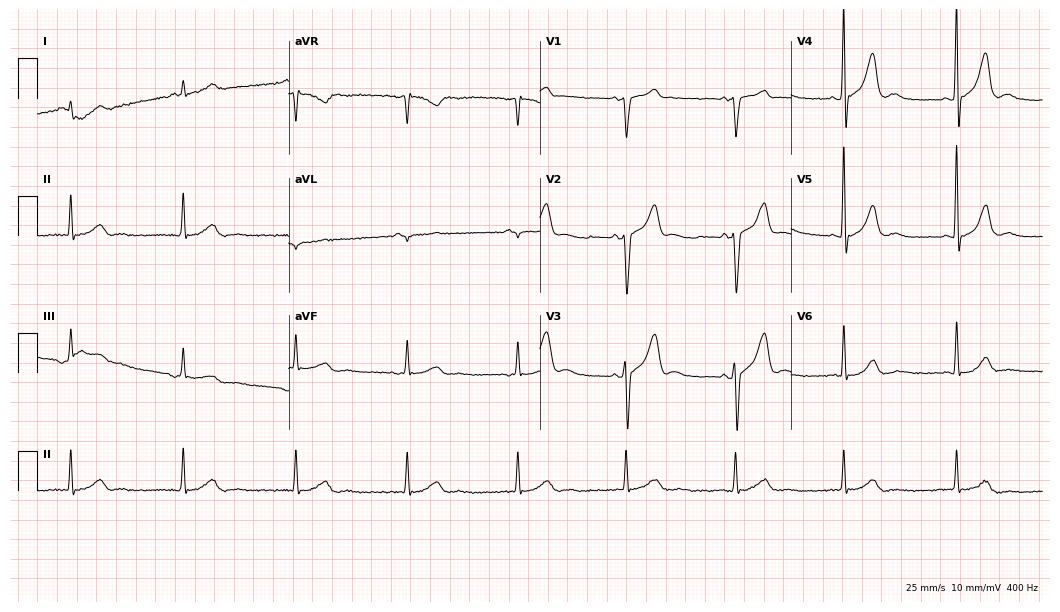
12-lead ECG from a man, 73 years old. Labelled as a normal ECG.